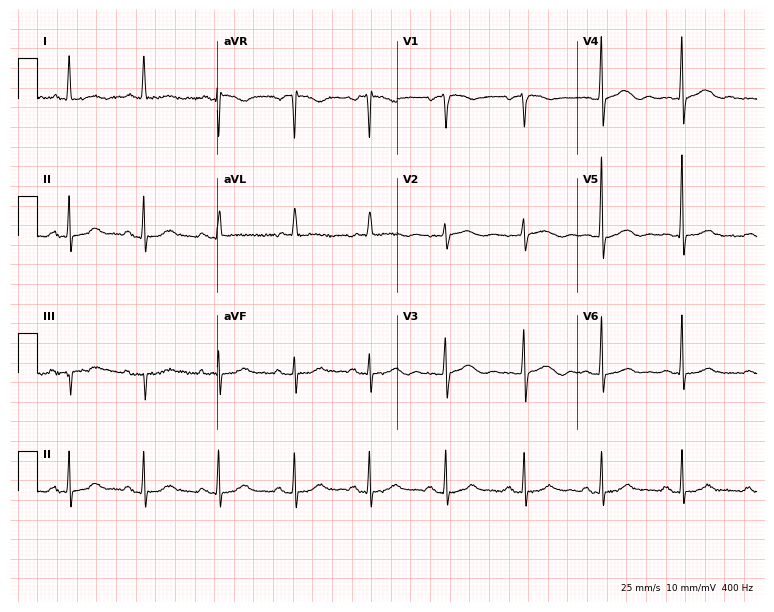
Resting 12-lead electrocardiogram (7.3-second recording at 400 Hz). Patient: a 76-year-old woman. Read as a normal ECG.